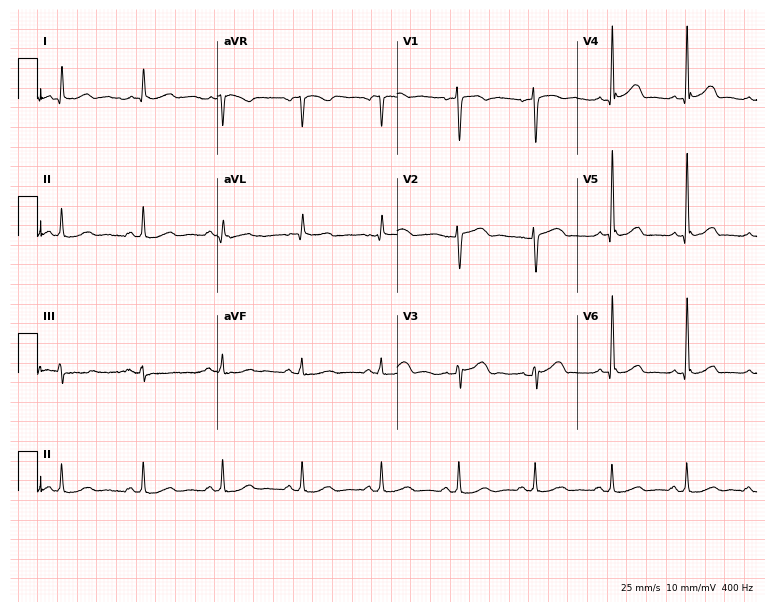
Standard 12-lead ECG recorded from a 51-year-old male patient (7.3-second recording at 400 Hz). None of these six findings is recorded: first-degree AV block, right bundle branch block, left bundle branch block, sinus bradycardia, atrial fibrillation, sinus tachycardia.